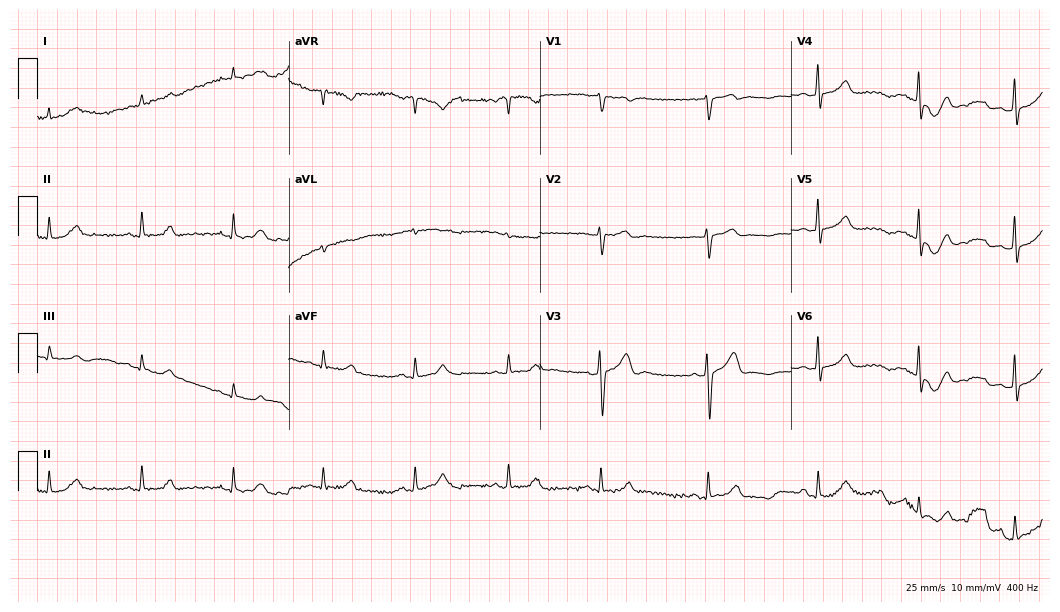
12-lead ECG from a 70-year-old man. Screened for six findings — first-degree AV block, right bundle branch block (RBBB), left bundle branch block (LBBB), sinus bradycardia, atrial fibrillation (AF), sinus tachycardia — none is recorded.